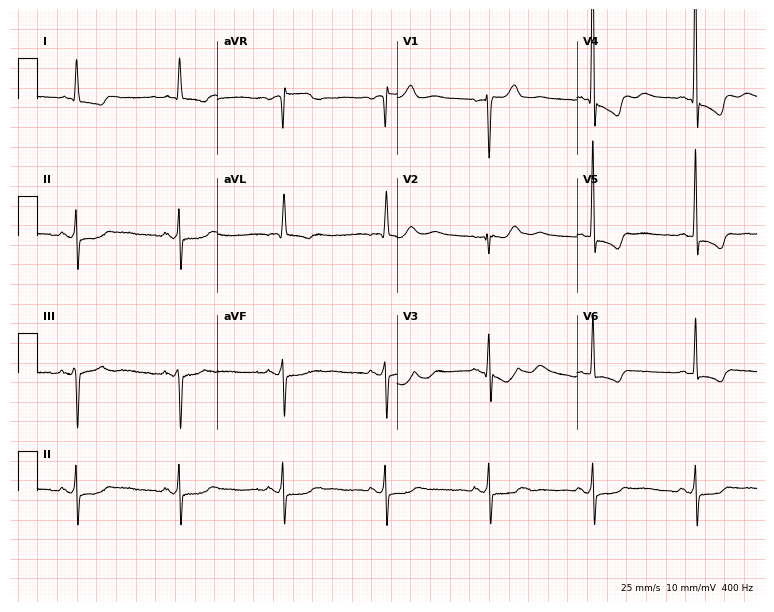
12-lead ECG (7.3-second recording at 400 Hz) from an 85-year-old male patient. Screened for six findings — first-degree AV block, right bundle branch block (RBBB), left bundle branch block (LBBB), sinus bradycardia, atrial fibrillation (AF), sinus tachycardia — none is recorded. Other findings, if any, are not listed.